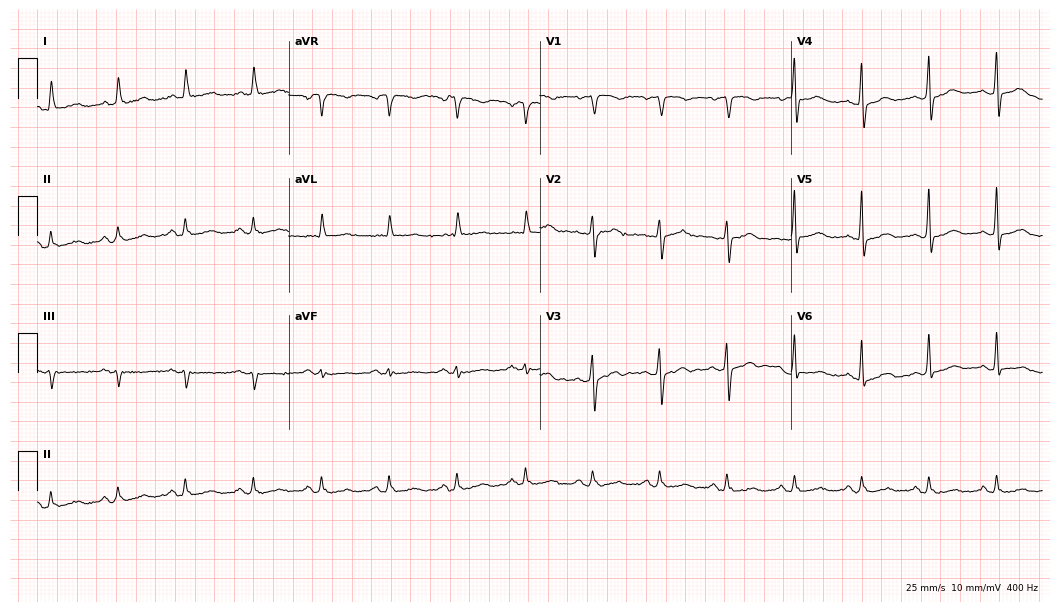
ECG (10.2-second recording at 400 Hz) — a female patient, 58 years old. Labelled as a normal ECG.